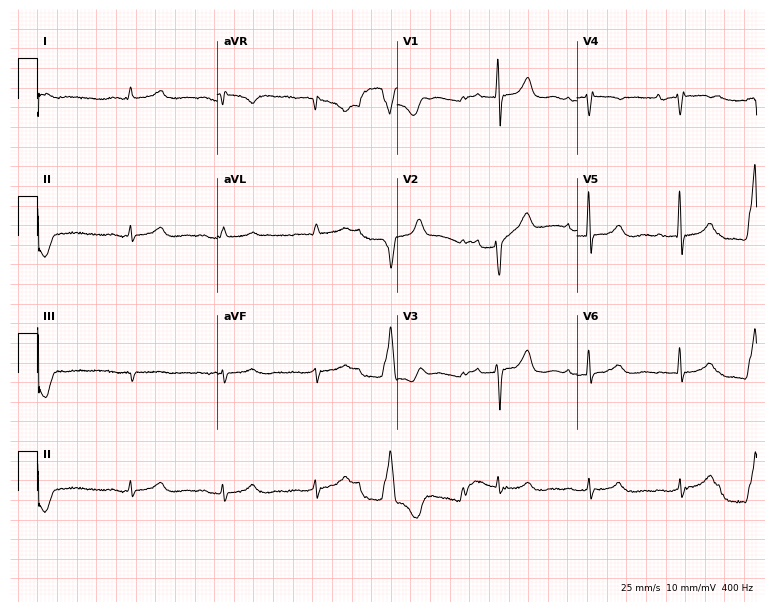
ECG (7.3-second recording at 400 Hz) — a man, 82 years old. Screened for six findings — first-degree AV block, right bundle branch block, left bundle branch block, sinus bradycardia, atrial fibrillation, sinus tachycardia — none is recorded. Only these six findings were labelled.